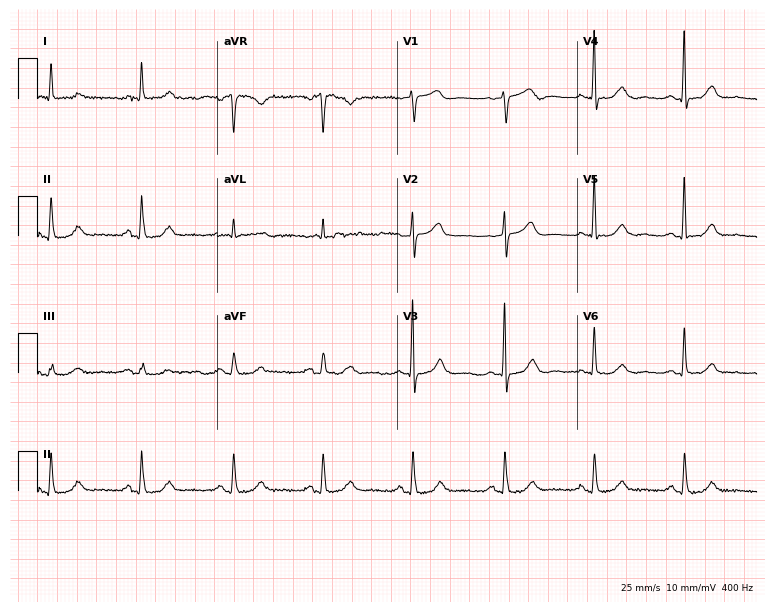
Resting 12-lead electrocardiogram. Patient: a woman, 71 years old. None of these six findings is recorded: first-degree AV block, right bundle branch block, left bundle branch block, sinus bradycardia, atrial fibrillation, sinus tachycardia. Findings outside these six are not listed.